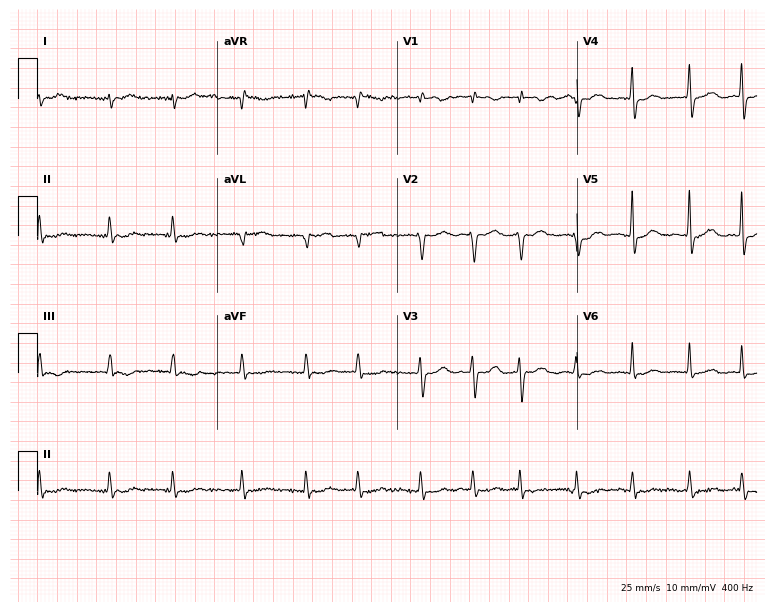
ECG — a female, 72 years old. Screened for six findings — first-degree AV block, right bundle branch block, left bundle branch block, sinus bradycardia, atrial fibrillation, sinus tachycardia — none is recorded.